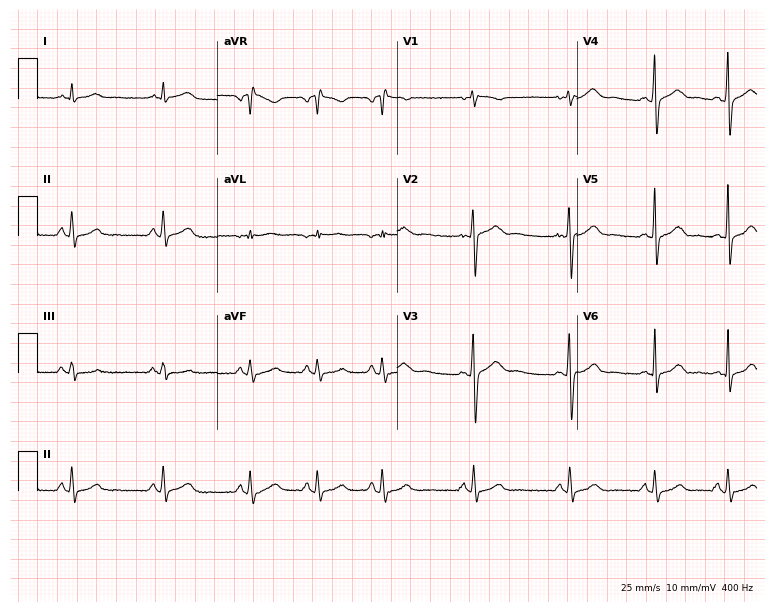
Electrocardiogram, a woman, 19 years old. Overall reading on record: normal ECG.